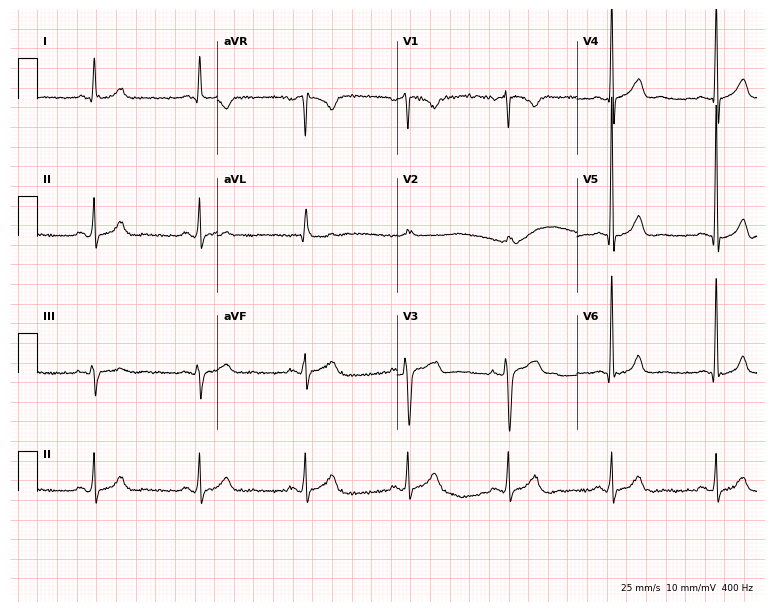
Standard 12-lead ECG recorded from a 52-year-old man (7.3-second recording at 400 Hz). None of these six findings is recorded: first-degree AV block, right bundle branch block (RBBB), left bundle branch block (LBBB), sinus bradycardia, atrial fibrillation (AF), sinus tachycardia. Only these six findings were labelled.